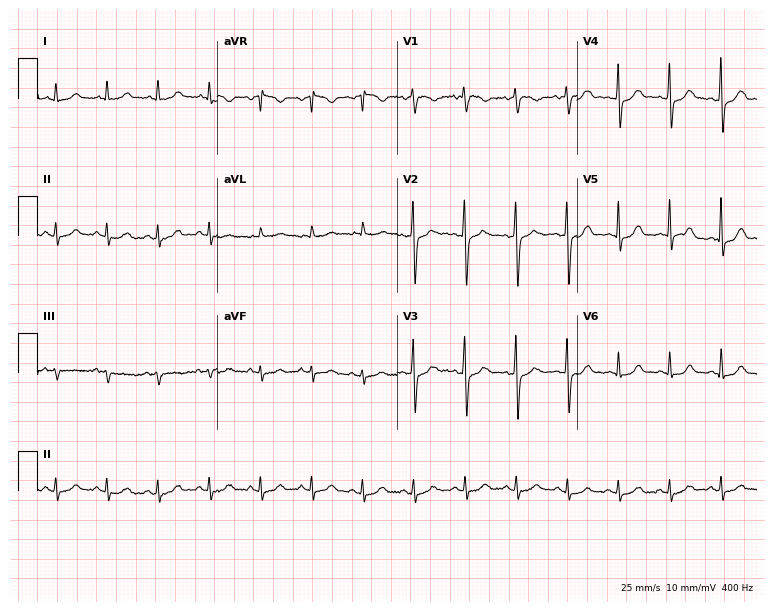
Resting 12-lead electrocardiogram (7.3-second recording at 400 Hz). Patient: a 77-year-old woman. The tracing shows sinus tachycardia (a sinus rate of 100 beats per minute or more).